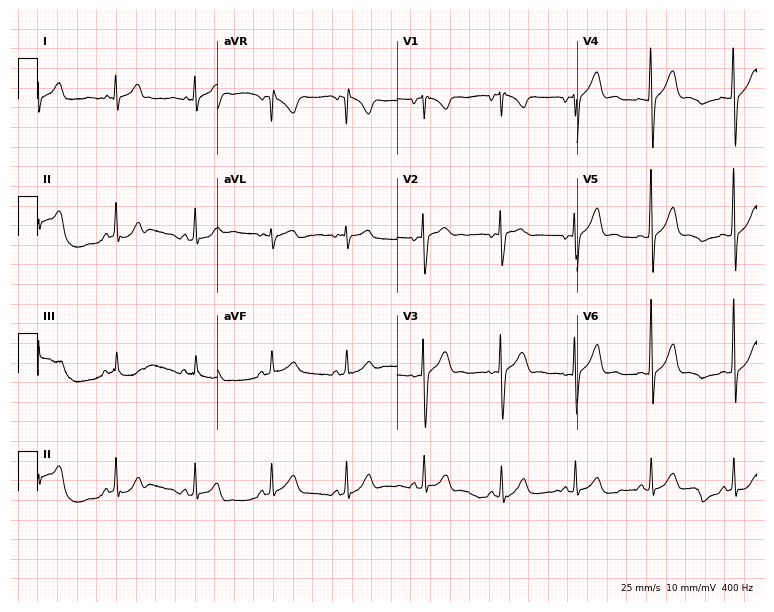
ECG (7.3-second recording at 400 Hz) — a 17-year-old male patient. Screened for six findings — first-degree AV block, right bundle branch block, left bundle branch block, sinus bradycardia, atrial fibrillation, sinus tachycardia — none is recorded.